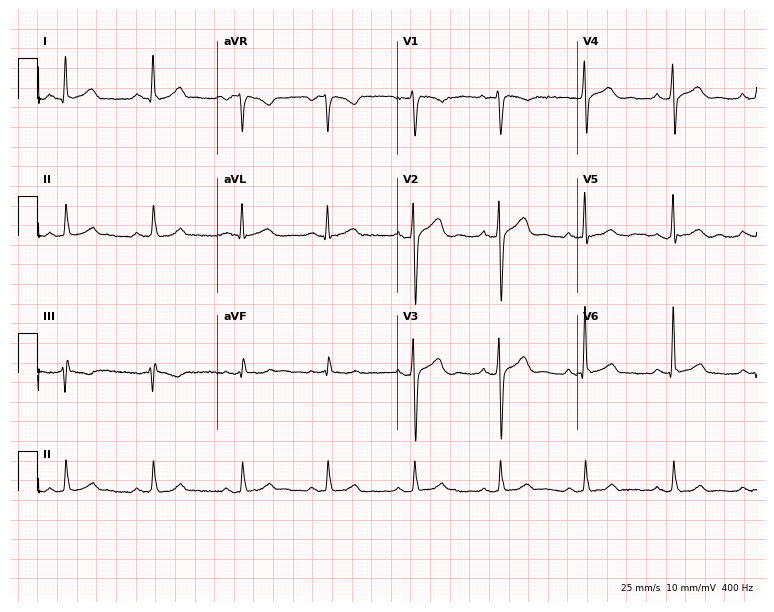
Electrocardiogram, a man, 38 years old. Overall reading on record: normal ECG.